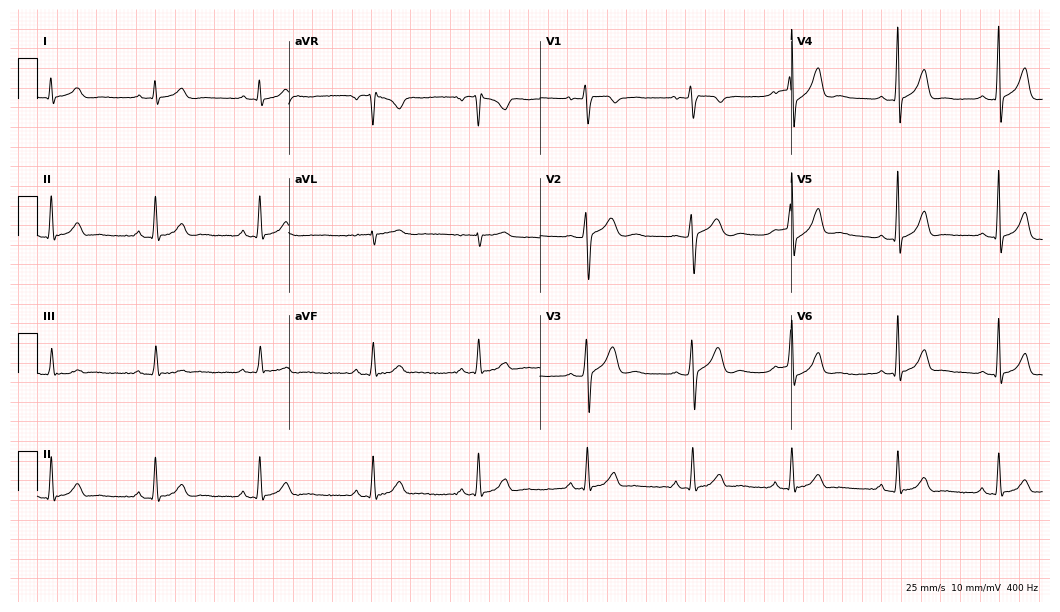
Electrocardiogram, a 20-year-old male patient. Overall reading on record: normal ECG.